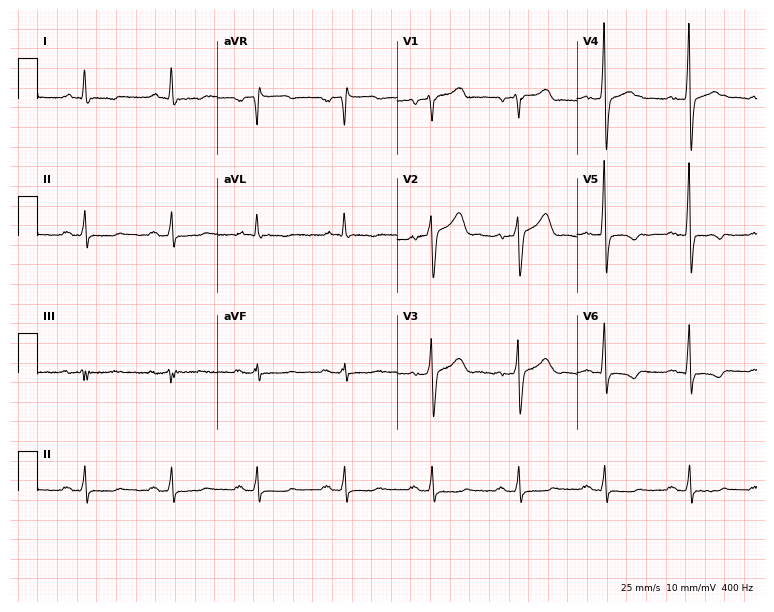
12-lead ECG from a 54-year-old man. No first-degree AV block, right bundle branch block (RBBB), left bundle branch block (LBBB), sinus bradycardia, atrial fibrillation (AF) or sinus tachycardia recorded for this tracing. Only these six findings were labelled.